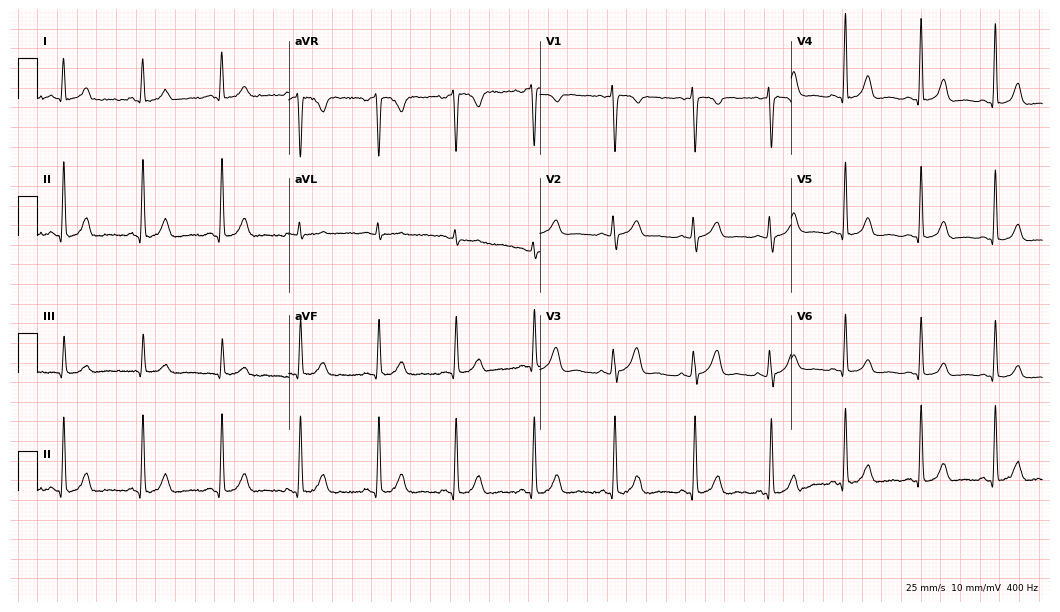
Resting 12-lead electrocardiogram. Patient: a female, 31 years old. Read as a normal ECG.